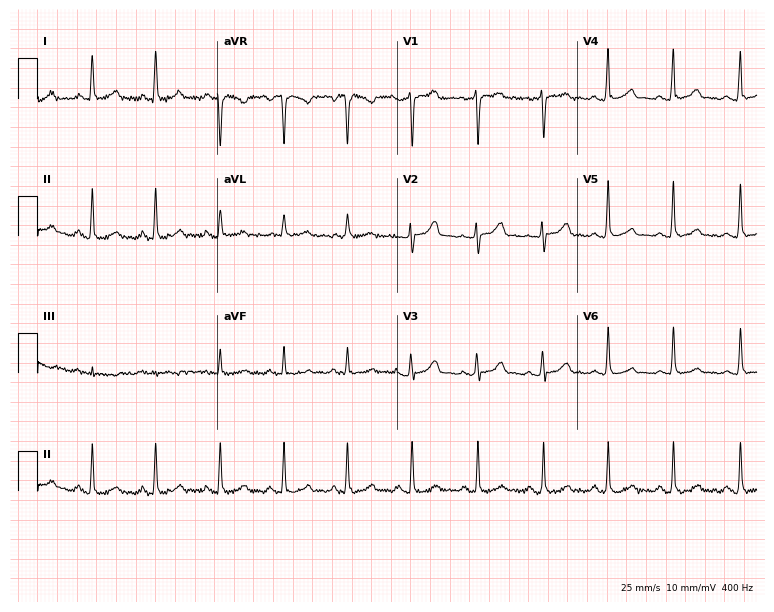
12-lead ECG from a female patient, 47 years old (7.3-second recording at 400 Hz). No first-degree AV block, right bundle branch block, left bundle branch block, sinus bradycardia, atrial fibrillation or sinus tachycardia recorded for this tracing.